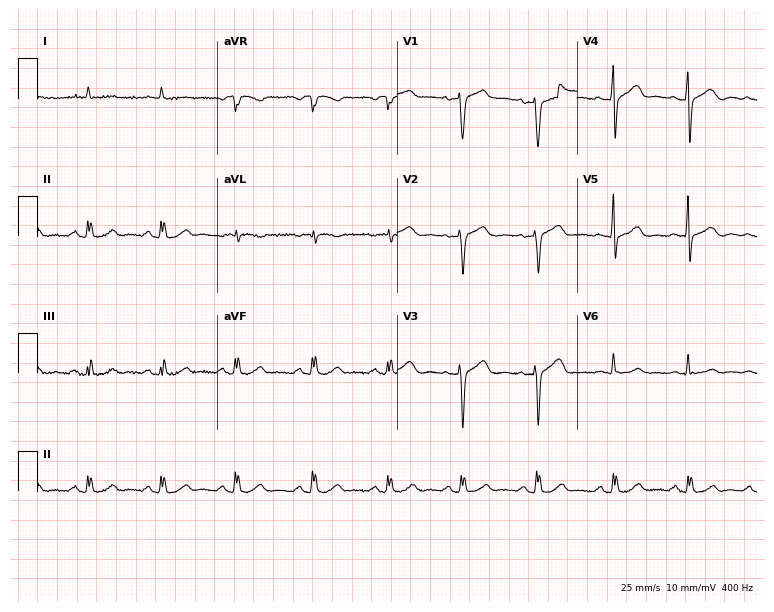
Resting 12-lead electrocardiogram (7.3-second recording at 400 Hz). Patient: a 76-year-old male. None of these six findings is recorded: first-degree AV block, right bundle branch block, left bundle branch block, sinus bradycardia, atrial fibrillation, sinus tachycardia.